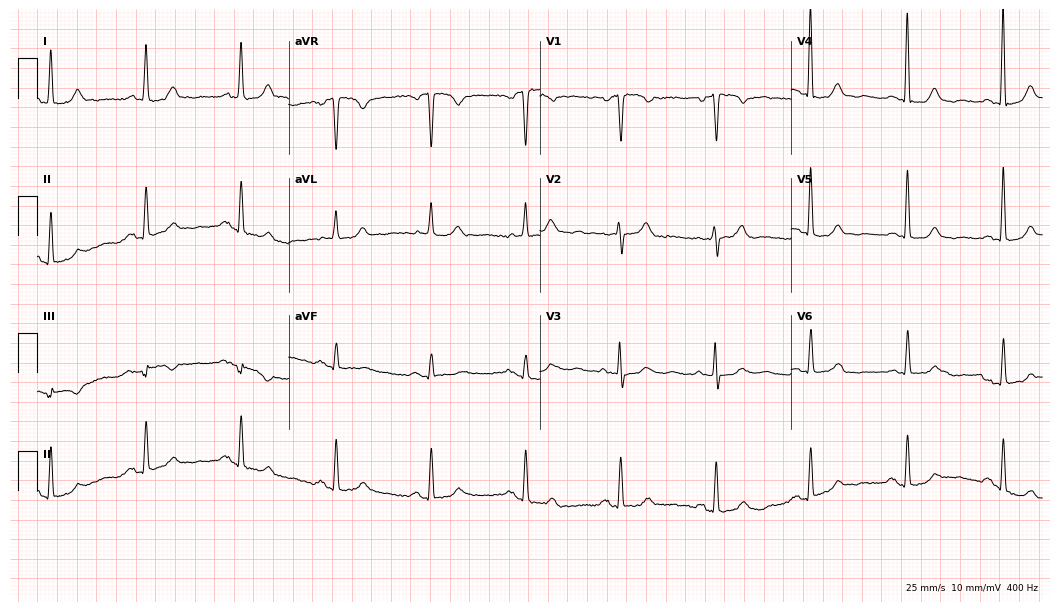
Resting 12-lead electrocardiogram. Patient: a female, 79 years old. None of these six findings is recorded: first-degree AV block, right bundle branch block, left bundle branch block, sinus bradycardia, atrial fibrillation, sinus tachycardia. Only these six findings were labelled.